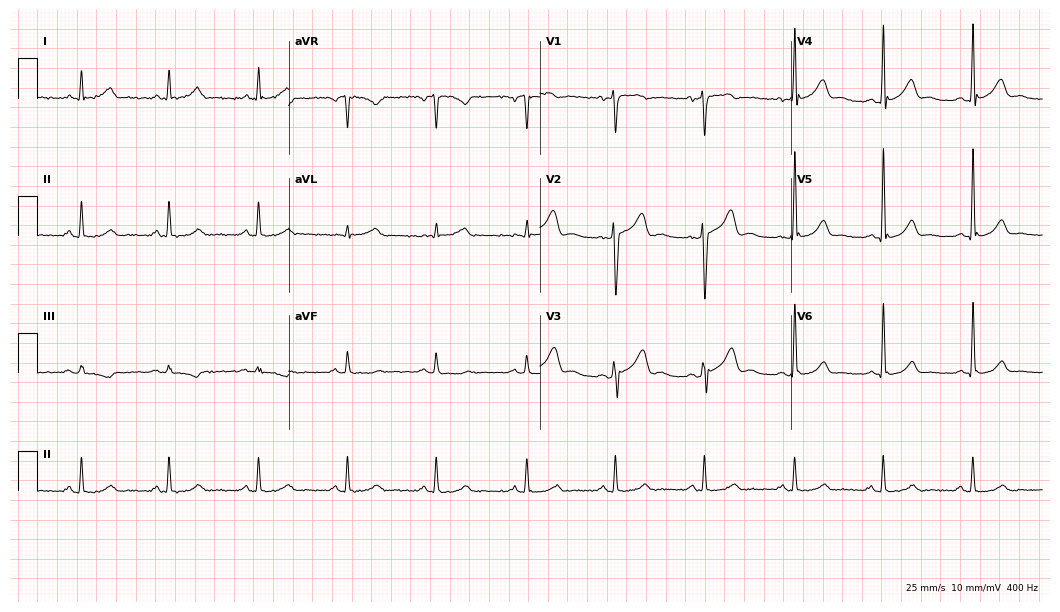
Standard 12-lead ECG recorded from a male, 55 years old. Read as a normal ECG.